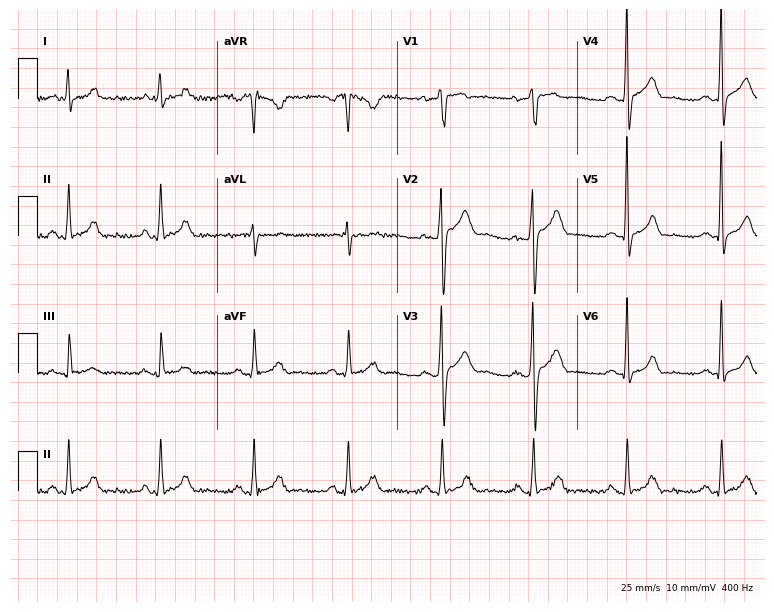
Standard 12-lead ECG recorded from a 39-year-old male (7.3-second recording at 400 Hz). None of these six findings is recorded: first-degree AV block, right bundle branch block, left bundle branch block, sinus bradycardia, atrial fibrillation, sinus tachycardia. Findings outside these six are not listed.